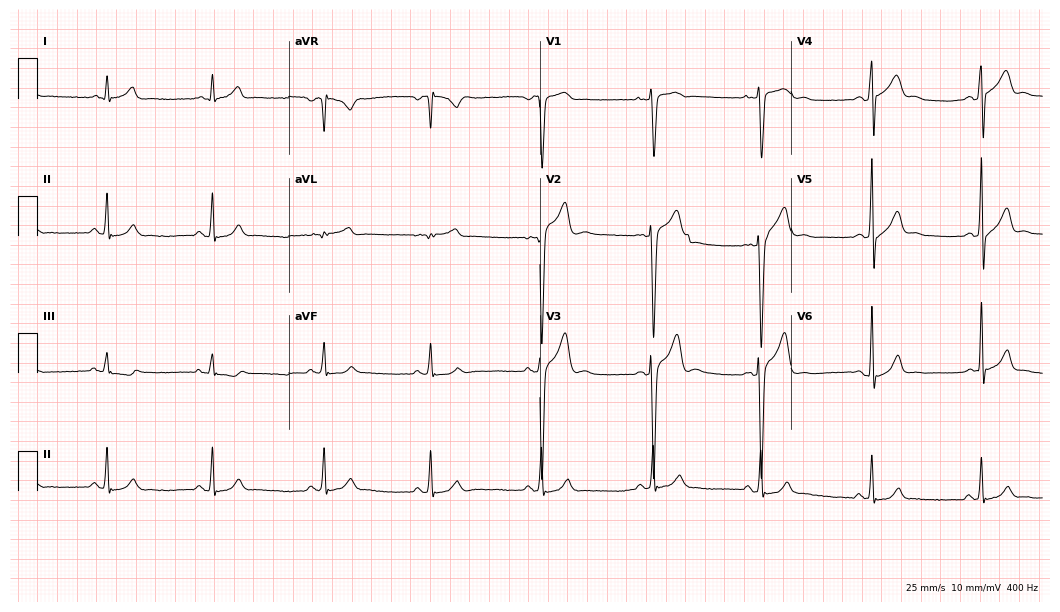
Resting 12-lead electrocardiogram. Patient: a female, 18 years old. Read as a normal ECG.